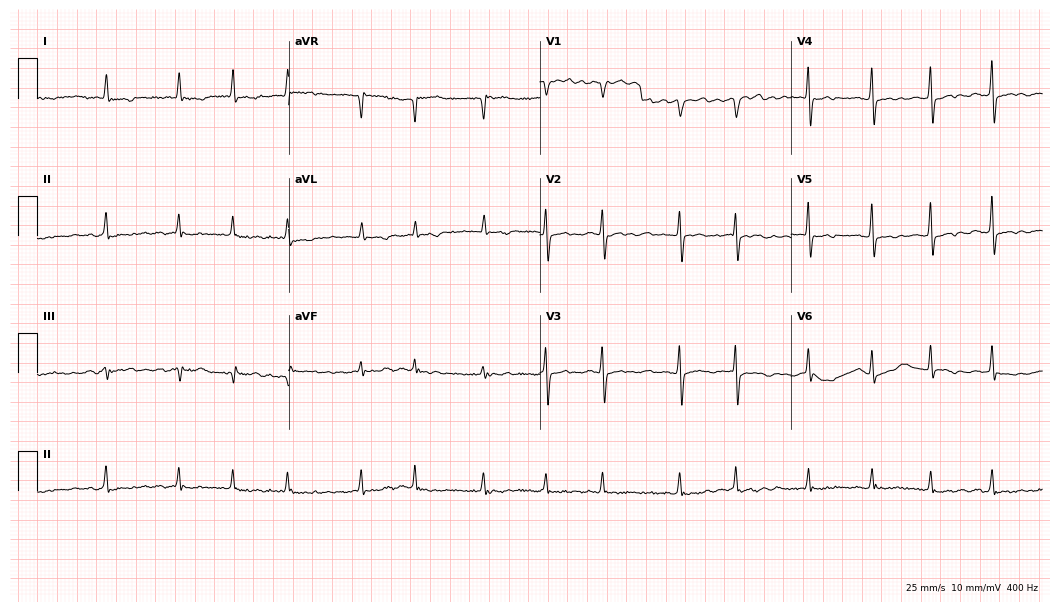
ECG (10.2-second recording at 400 Hz) — a 73-year-old female patient. Findings include atrial fibrillation.